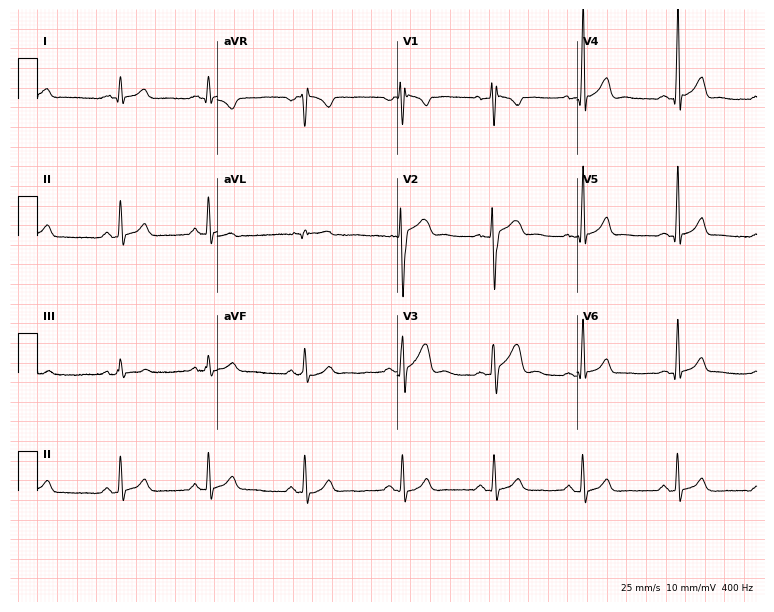
Resting 12-lead electrocardiogram (7.3-second recording at 400 Hz). Patient: an 18-year-old woman. None of these six findings is recorded: first-degree AV block, right bundle branch block, left bundle branch block, sinus bradycardia, atrial fibrillation, sinus tachycardia.